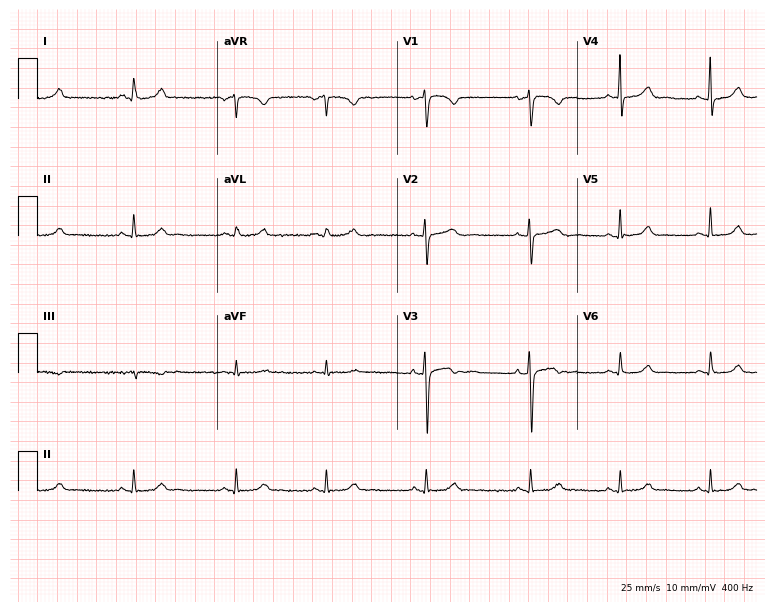
Electrocardiogram (7.3-second recording at 400 Hz), a woman, 36 years old. Overall reading on record: normal ECG.